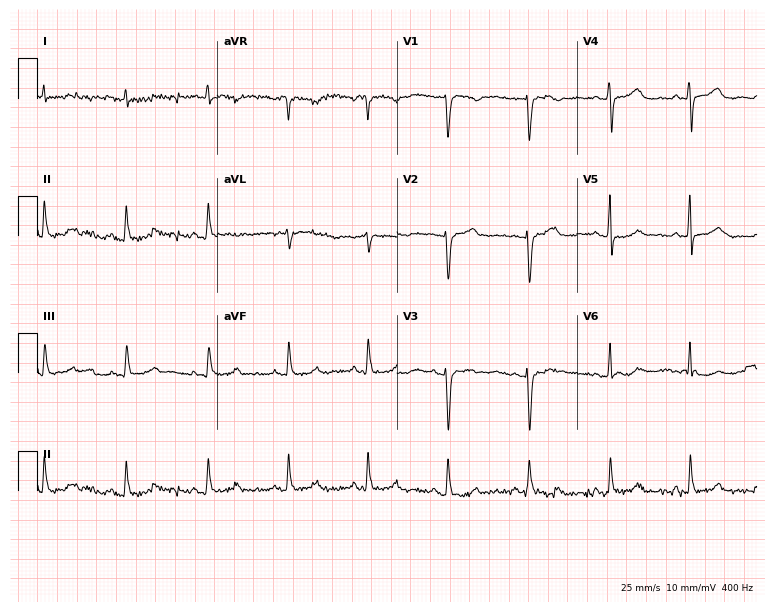
Resting 12-lead electrocardiogram. Patient: a female, 46 years old. None of these six findings is recorded: first-degree AV block, right bundle branch block, left bundle branch block, sinus bradycardia, atrial fibrillation, sinus tachycardia.